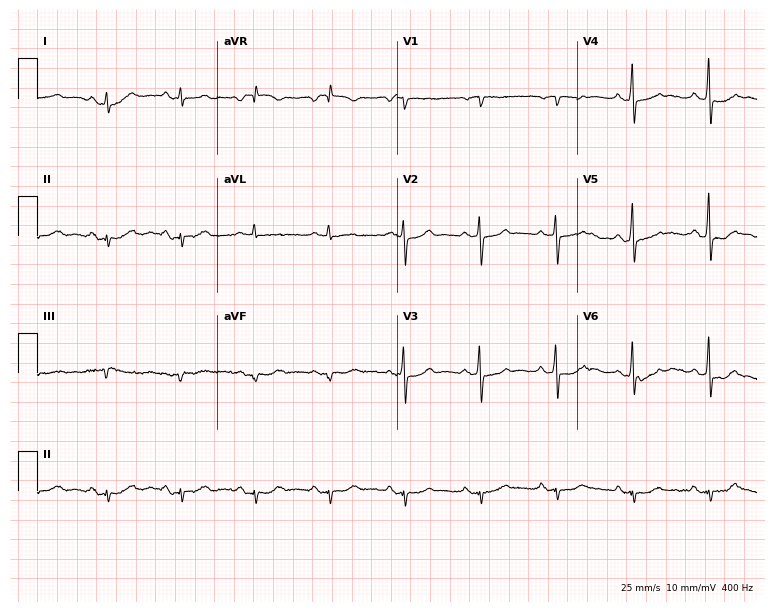
Standard 12-lead ECG recorded from a male, 74 years old (7.3-second recording at 400 Hz). Read as a normal ECG.